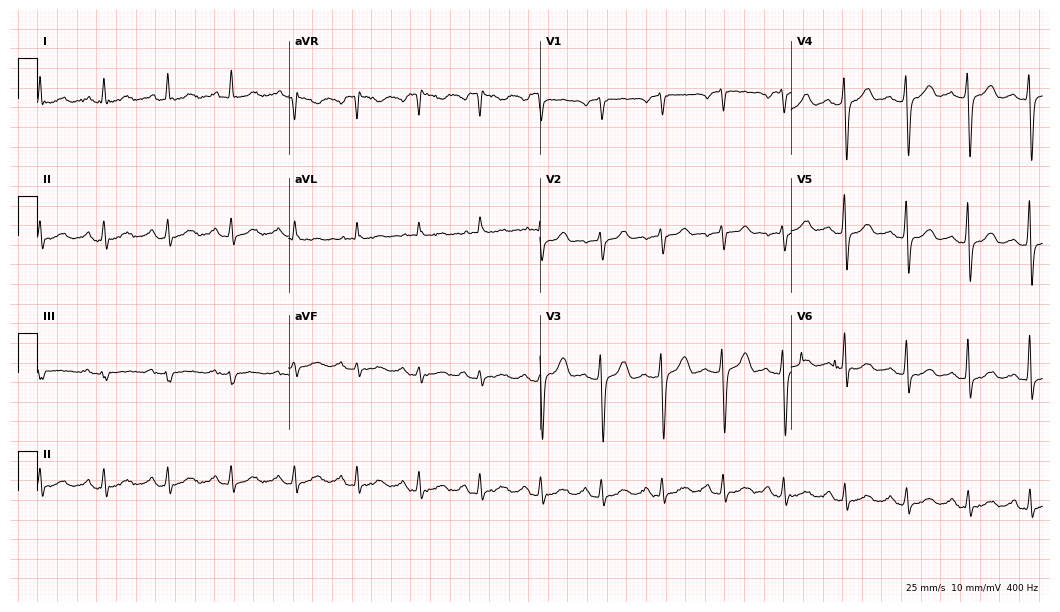
Electrocardiogram (10.2-second recording at 400 Hz), a male patient, 63 years old. Of the six screened findings (first-degree AV block, right bundle branch block, left bundle branch block, sinus bradycardia, atrial fibrillation, sinus tachycardia), none is recorded.